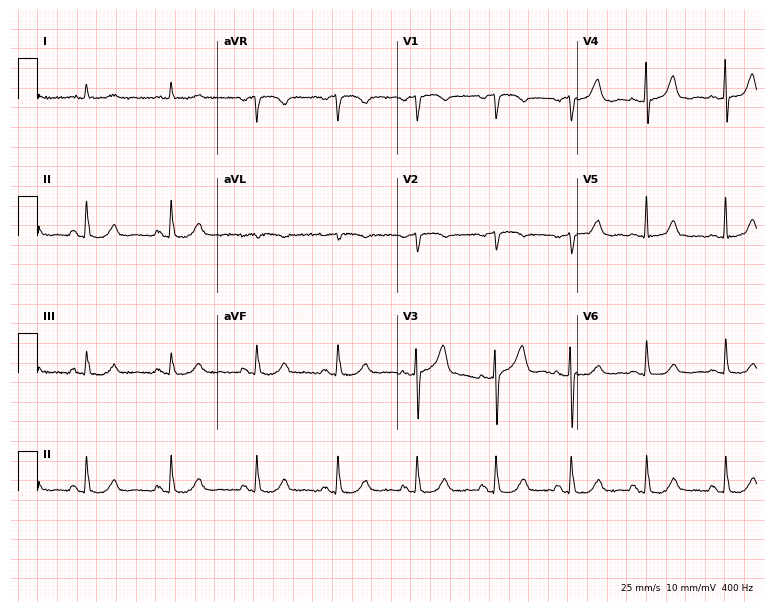
12-lead ECG from a female patient, 59 years old. Recorded interpretation: within normal limits.